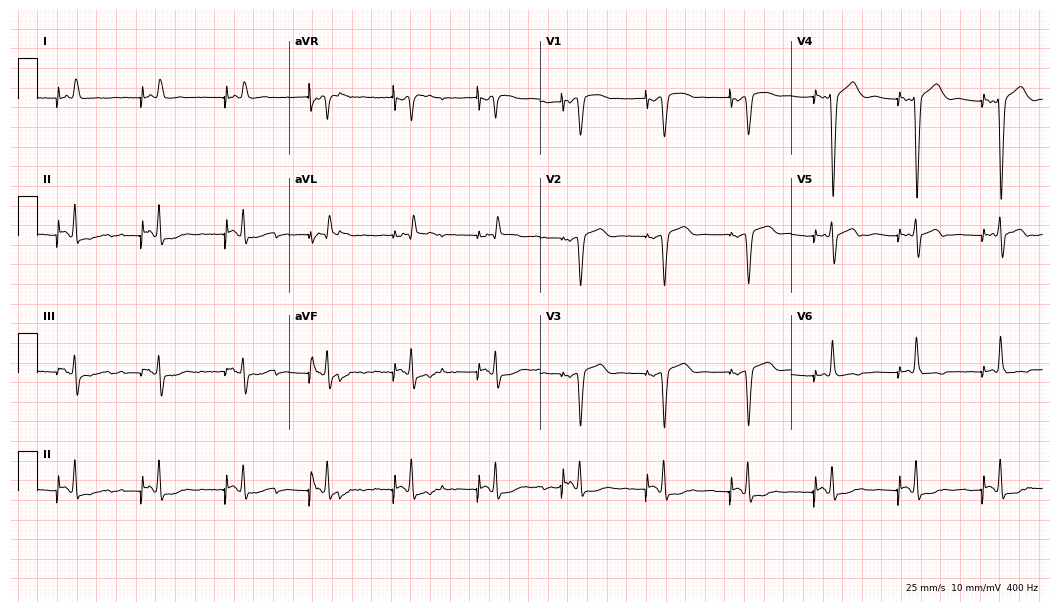
Electrocardiogram, a 71-year-old male patient. Of the six screened findings (first-degree AV block, right bundle branch block, left bundle branch block, sinus bradycardia, atrial fibrillation, sinus tachycardia), none is recorded. Findings outside these six are not listed.